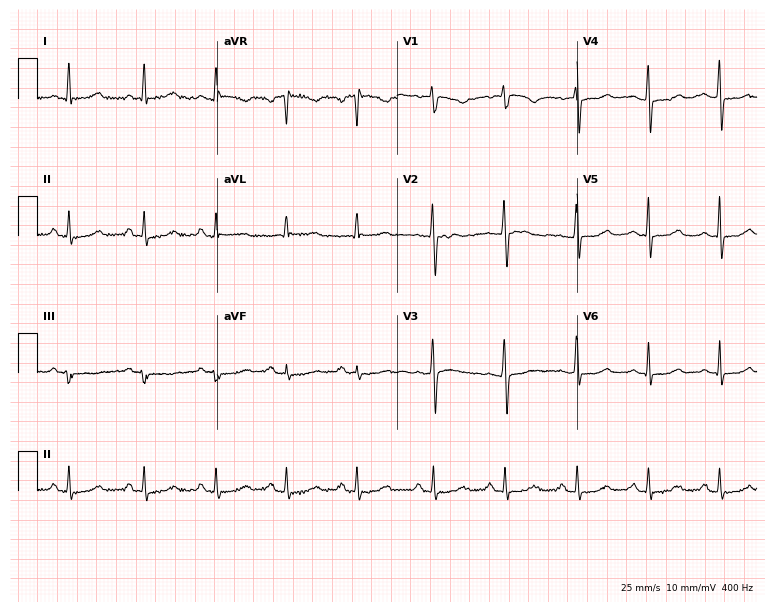
12-lead ECG from a female patient, 45 years old (7.3-second recording at 400 Hz). Recorded interpretation: within normal limits.